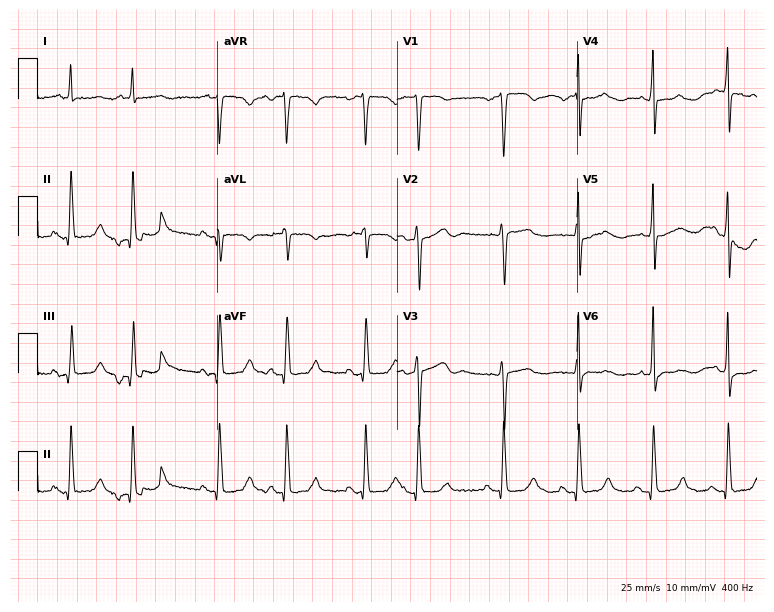
Standard 12-lead ECG recorded from a 71-year-old female (7.3-second recording at 400 Hz). None of these six findings is recorded: first-degree AV block, right bundle branch block, left bundle branch block, sinus bradycardia, atrial fibrillation, sinus tachycardia. Other findings, if any, are not listed.